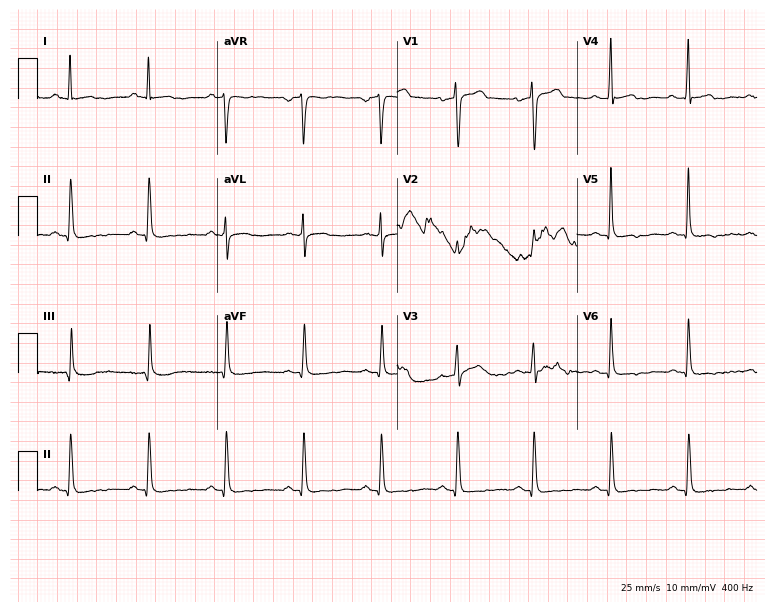
12-lead ECG (7.3-second recording at 400 Hz) from a man, 57 years old. Screened for six findings — first-degree AV block, right bundle branch block, left bundle branch block, sinus bradycardia, atrial fibrillation, sinus tachycardia — none is recorded.